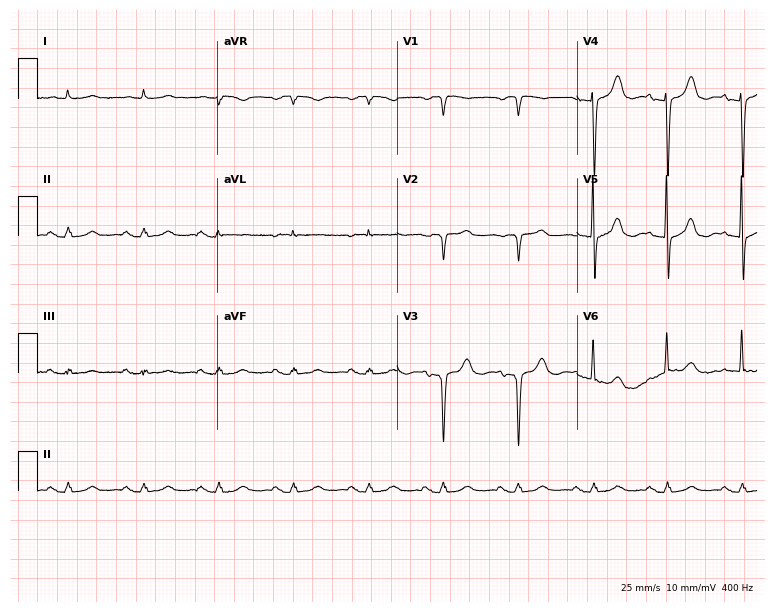
Standard 12-lead ECG recorded from a woman, 83 years old. None of these six findings is recorded: first-degree AV block, right bundle branch block (RBBB), left bundle branch block (LBBB), sinus bradycardia, atrial fibrillation (AF), sinus tachycardia. Findings outside these six are not listed.